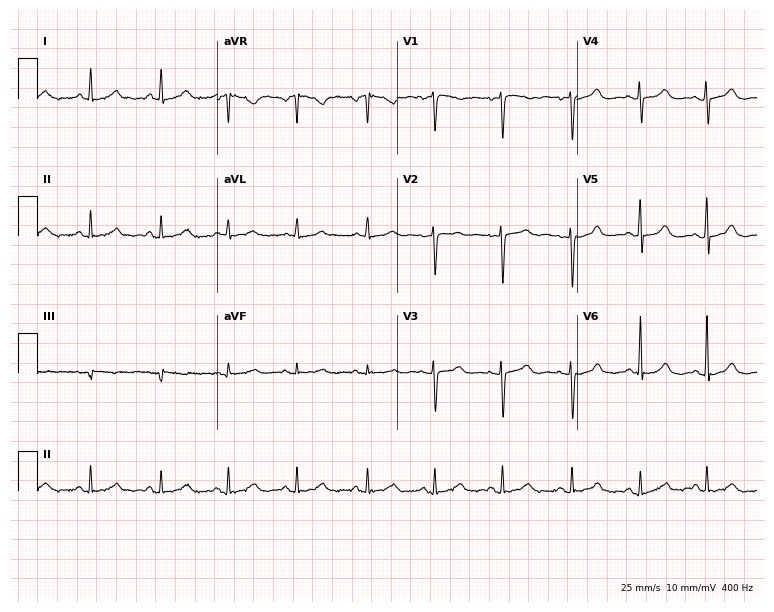
12-lead ECG from a 42-year-old woman. Labelled as a normal ECG.